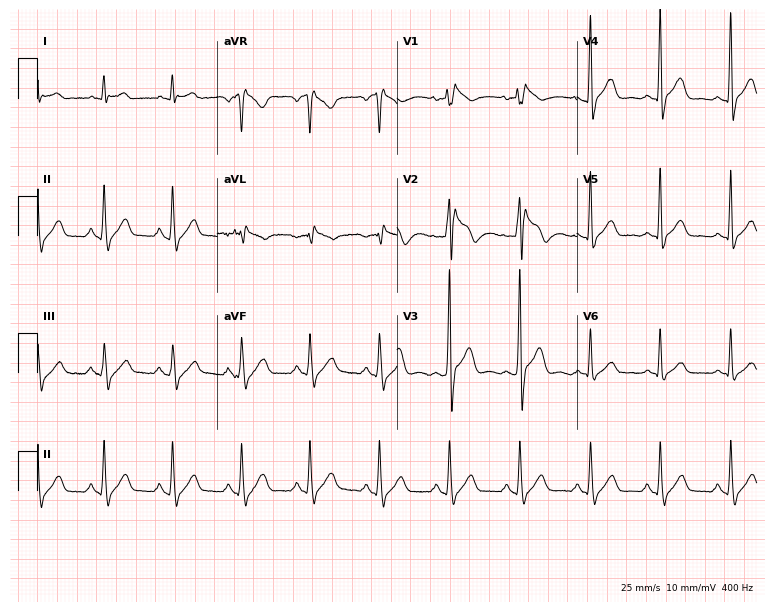
Resting 12-lead electrocardiogram. Patient: a male, 41 years old. None of these six findings is recorded: first-degree AV block, right bundle branch block, left bundle branch block, sinus bradycardia, atrial fibrillation, sinus tachycardia. Other findings, if any, are not listed.